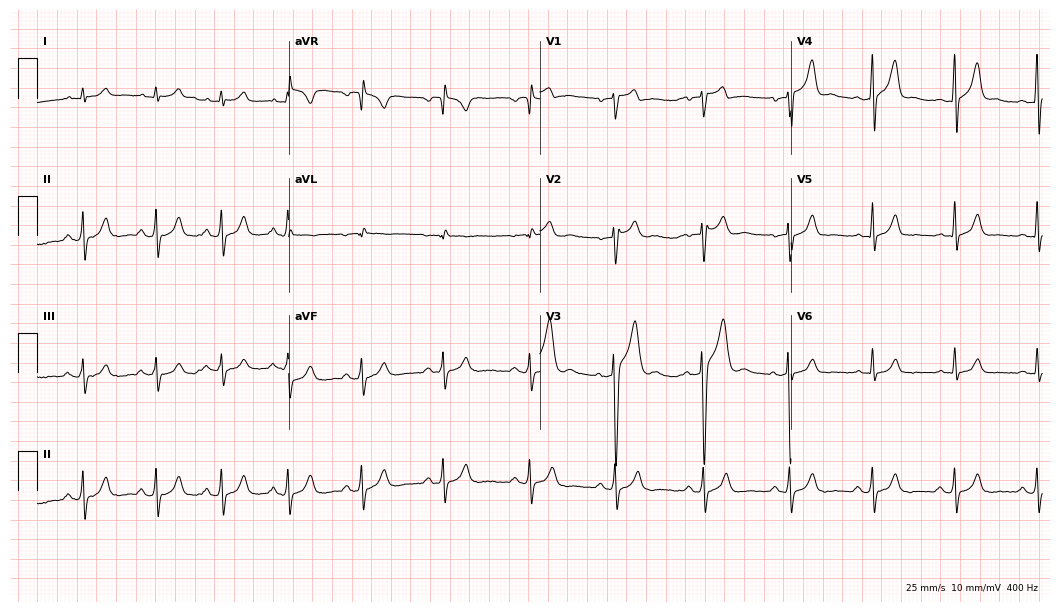
Resting 12-lead electrocardiogram. Patient: a man, 26 years old. Read as a normal ECG.